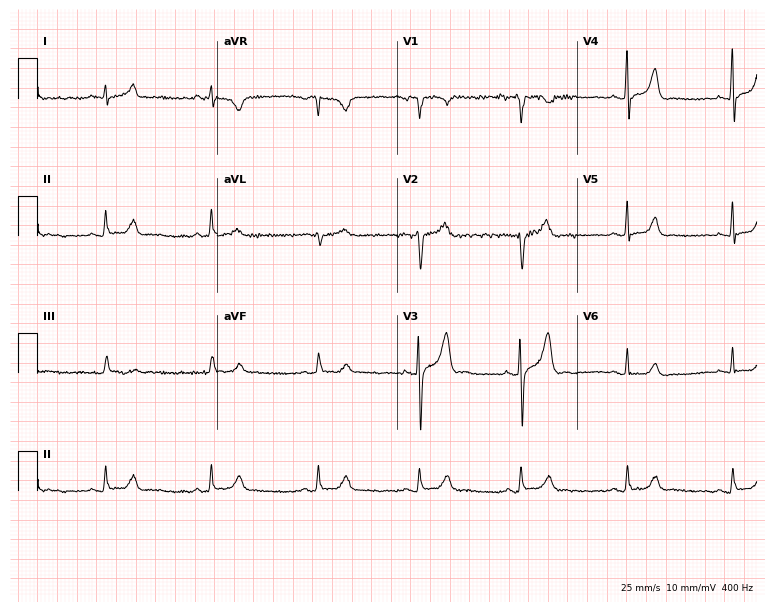
Resting 12-lead electrocardiogram. Patient: a male, 35 years old. Read as a normal ECG.